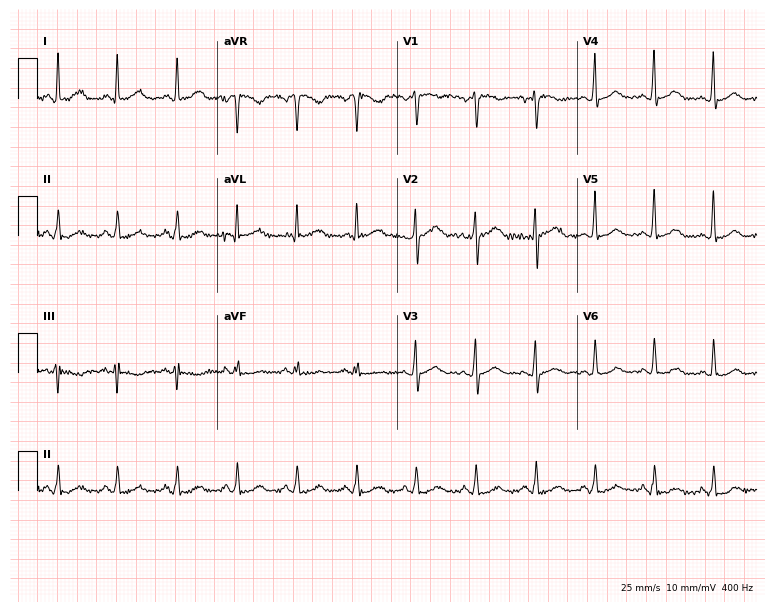
12-lead ECG (7.3-second recording at 400 Hz) from a 56-year-old woman. Labelled as a normal ECG.